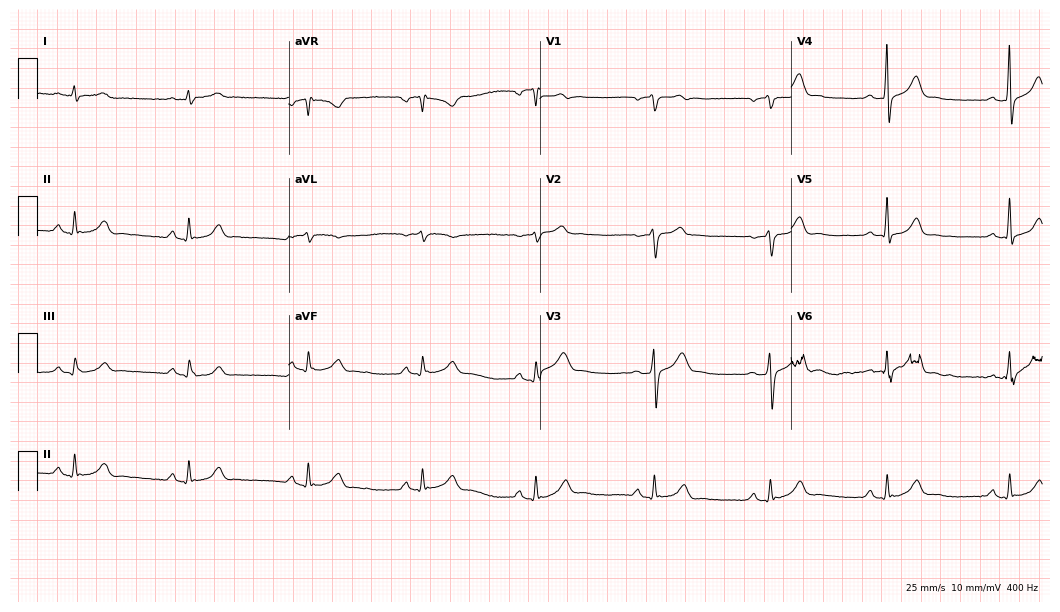
12-lead ECG from a man, 52 years old. Recorded interpretation: within normal limits.